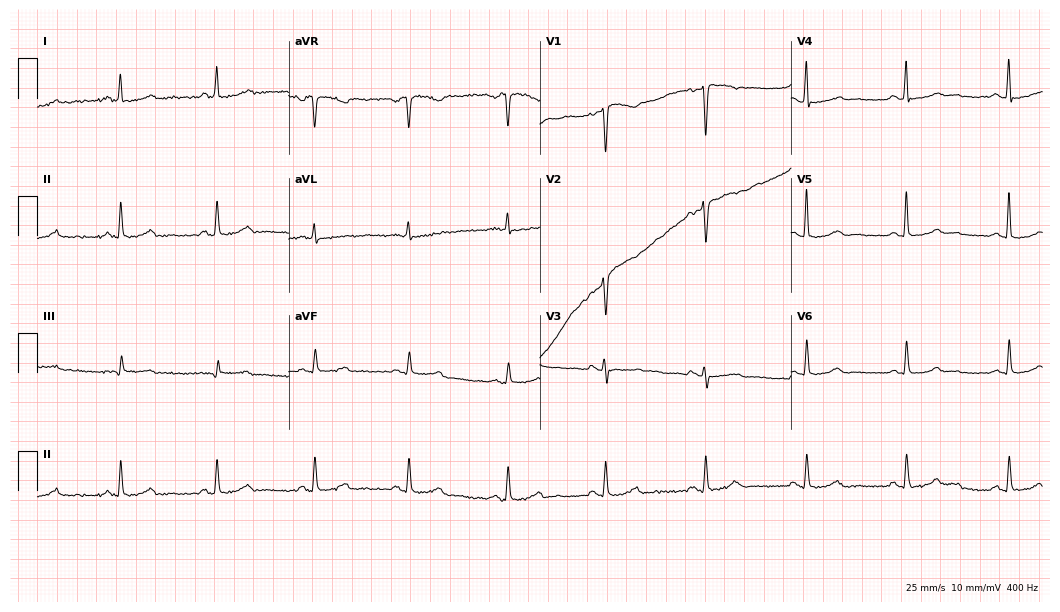
12-lead ECG from a 53-year-old woman (10.2-second recording at 400 Hz). No first-degree AV block, right bundle branch block, left bundle branch block, sinus bradycardia, atrial fibrillation or sinus tachycardia recorded for this tracing.